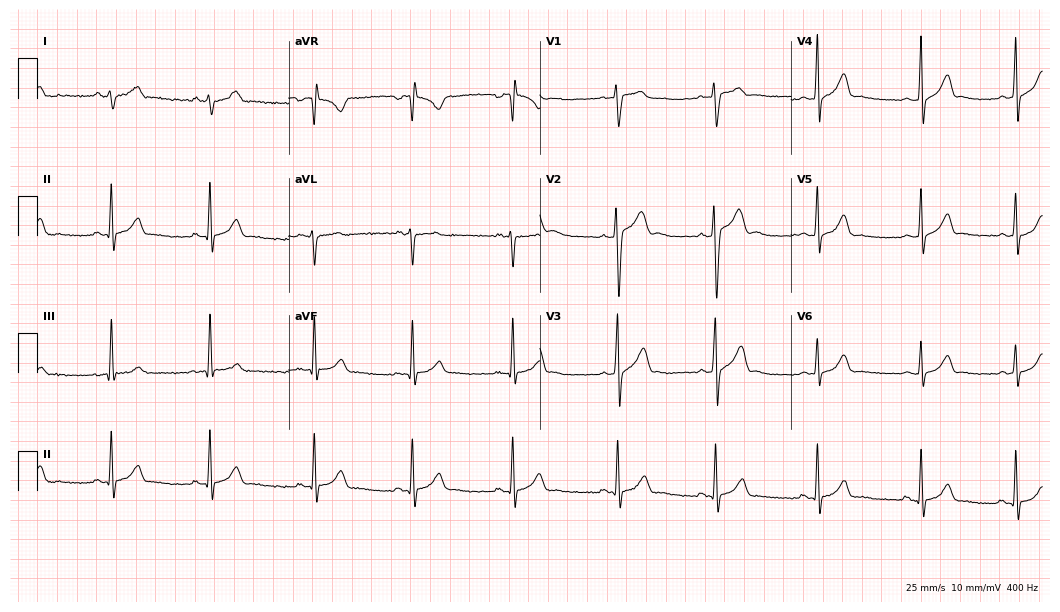
Electrocardiogram (10.2-second recording at 400 Hz), a male, 17 years old. Of the six screened findings (first-degree AV block, right bundle branch block, left bundle branch block, sinus bradycardia, atrial fibrillation, sinus tachycardia), none is recorded.